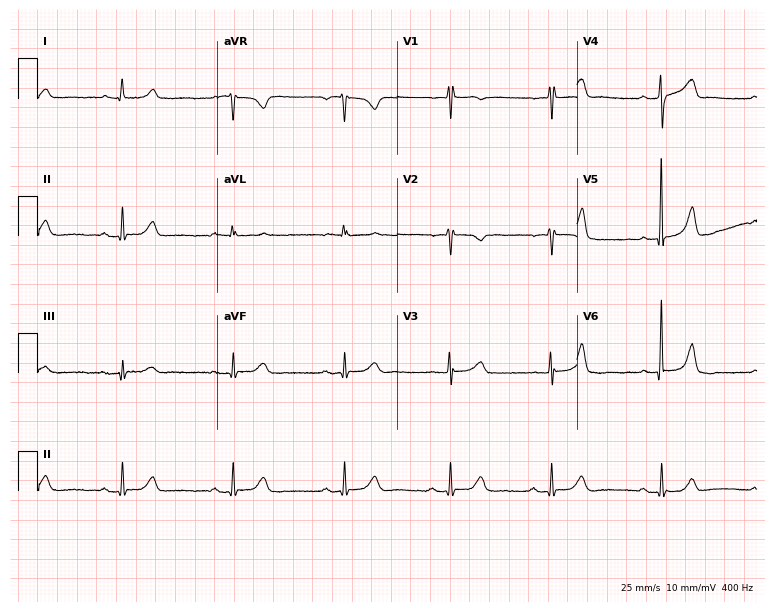
ECG (7.3-second recording at 400 Hz) — a female patient, 64 years old. Labelled as a normal ECG.